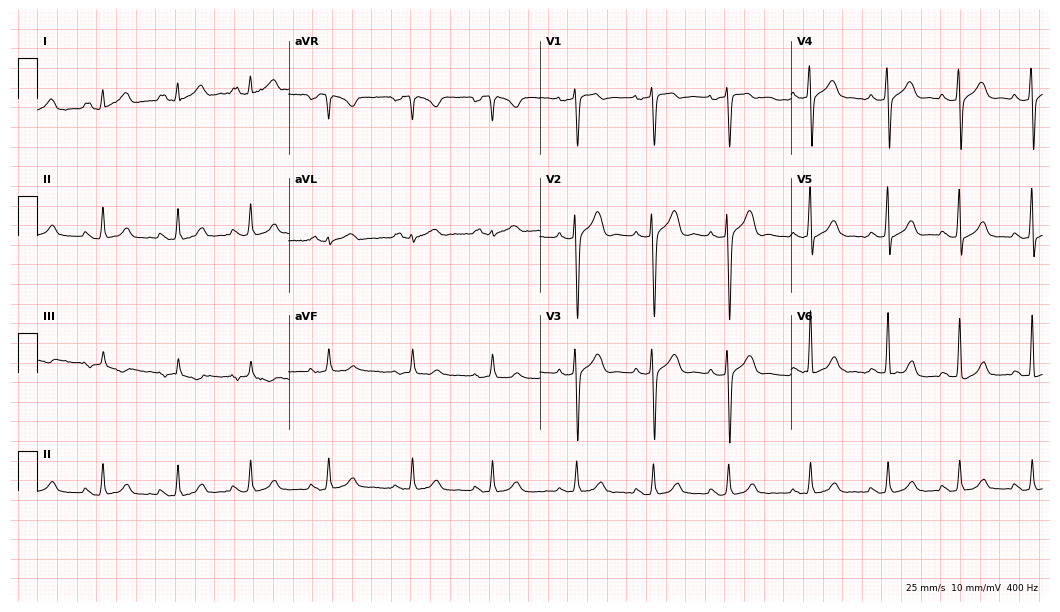
Electrocardiogram, a 28-year-old male patient. Overall reading on record: normal ECG.